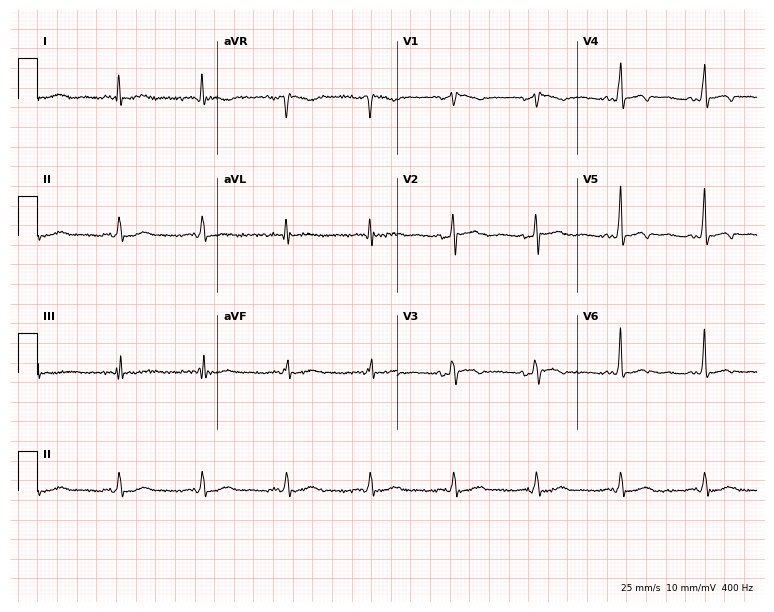
Standard 12-lead ECG recorded from a 74-year-old male patient (7.3-second recording at 400 Hz). None of these six findings is recorded: first-degree AV block, right bundle branch block, left bundle branch block, sinus bradycardia, atrial fibrillation, sinus tachycardia. Other findings, if any, are not listed.